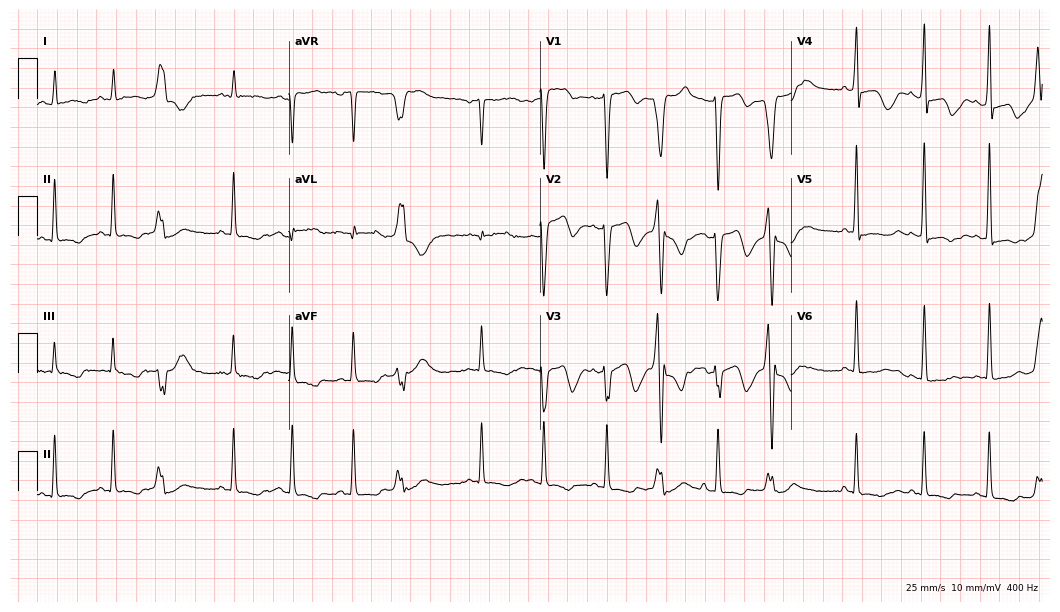
12-lead ECG from a 49-year-old male. Screened for six findings — first-degree AV block, right bundle branch block (RBBB), left bundle branch block (LBBB), sinus bradycardia, atrial fibrillation (AF), sinus tachycardia — none is recorded. Findings outside these six are not listed.